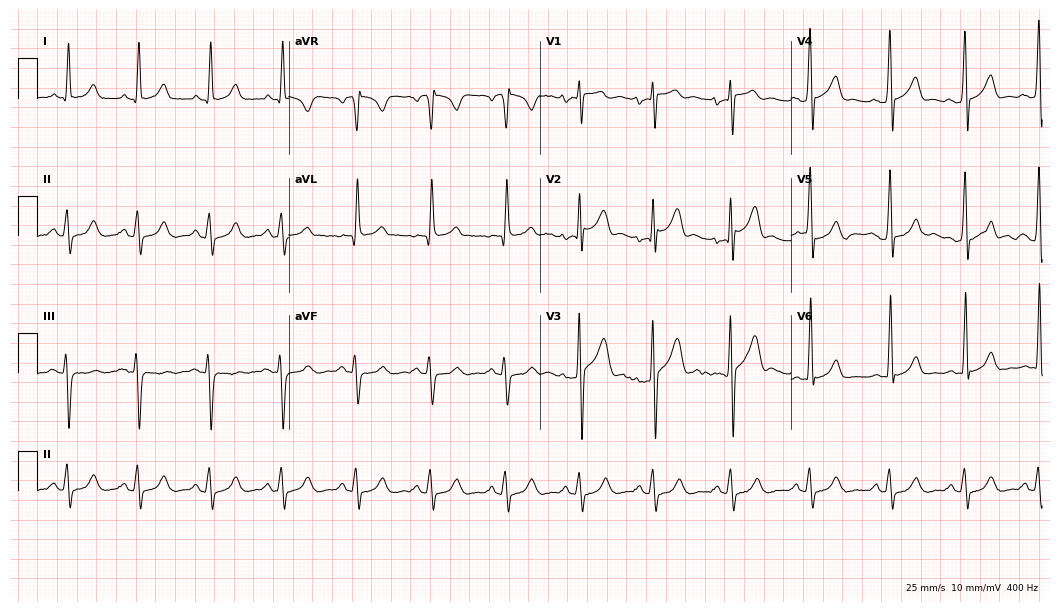
ECG — a male, 40 years old. Screened for six findings — first-degree AV block, right bundle branch block, left bundle branch block, sinus bradycardia, atrial fibrillation, sinus tachycardia — none is recorded. Findings outside these six are not listed.